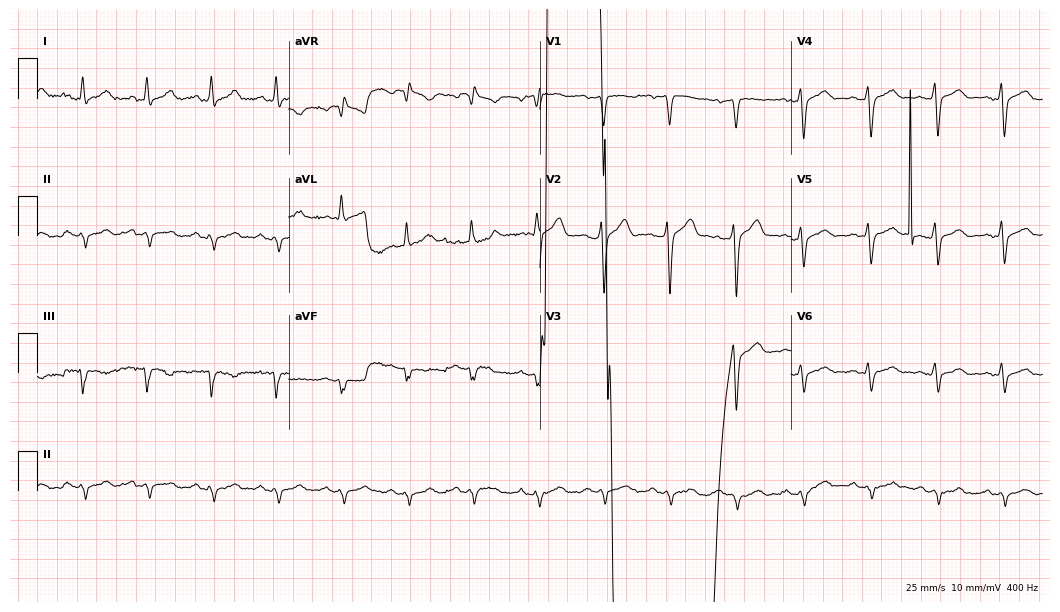
Standard 12-lead ECG recorded from a 44-year-old man. None of these six findings is recorded: first-degree AV block, right bundle branch block (RBBB), left bundle branch block (LBBB), sinus bradycardia, atrial fibrillation (AF), sinus tachycardia. Other findings, if any, are not listed.